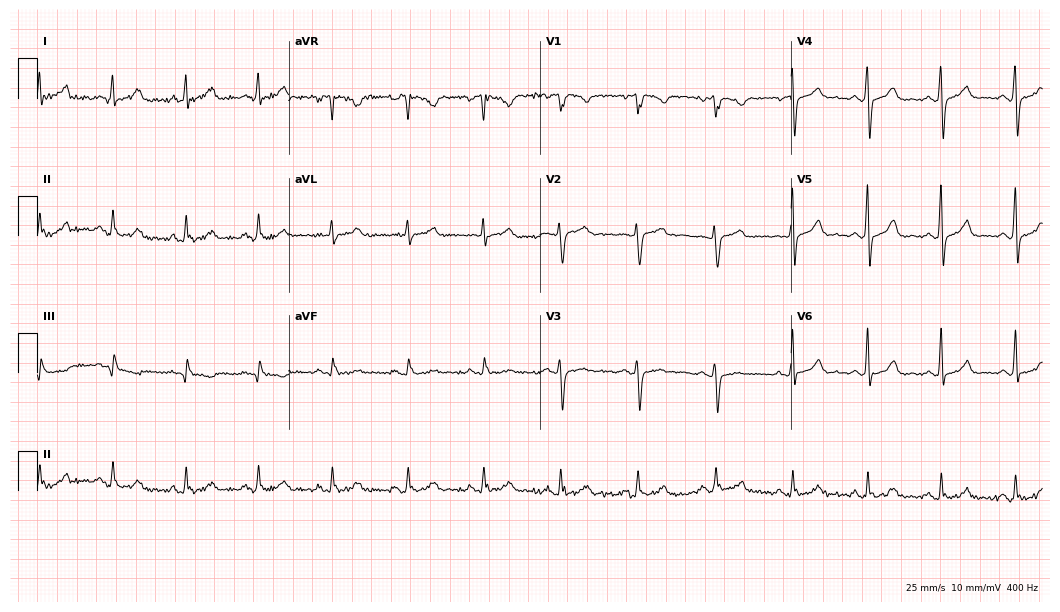
Resting 12-lead electrocardiogram. Patient: a female, 52 years old. Read as a normal ECG.